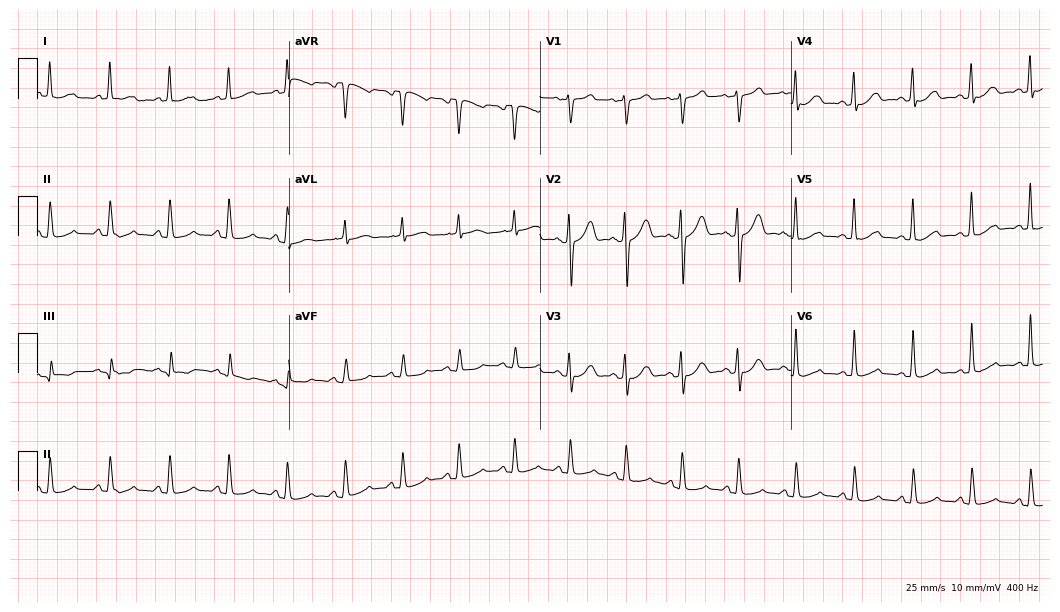
ECG — a 48-year-old man. Screened for six findings — first-degree AV block, right bundle branch block (RBBB), left bundle branch block (LBBB), sinus bradycardia, atrial fibrillation (AF), sinus tachycardia — none is recorded.